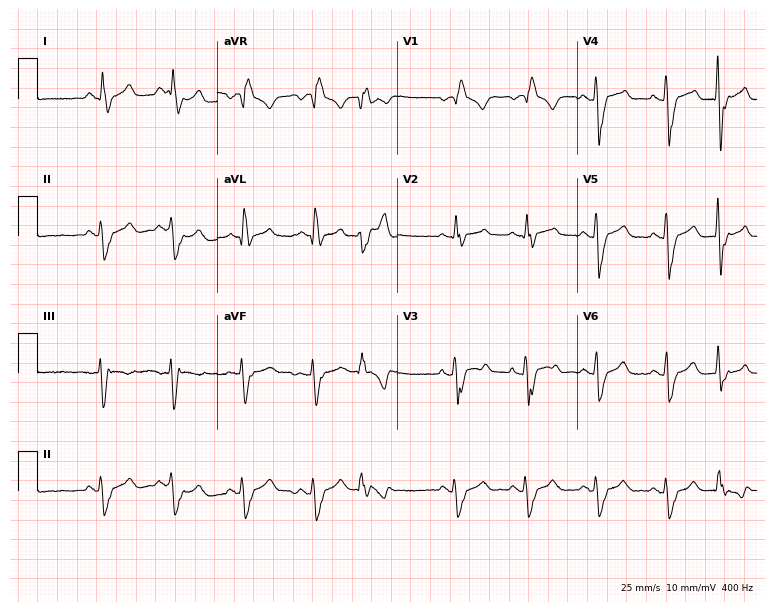
12-lead ECG (7.3-second recording at 400 Hz) from a 46-year-old man. Screened for six findings — first-degree AV block, right bundle branch block, left bundle branch block, sinus bradycardia, atrial fibrillation, sinus tachycardia — none is recorded. Other findings, if any, are not listed.